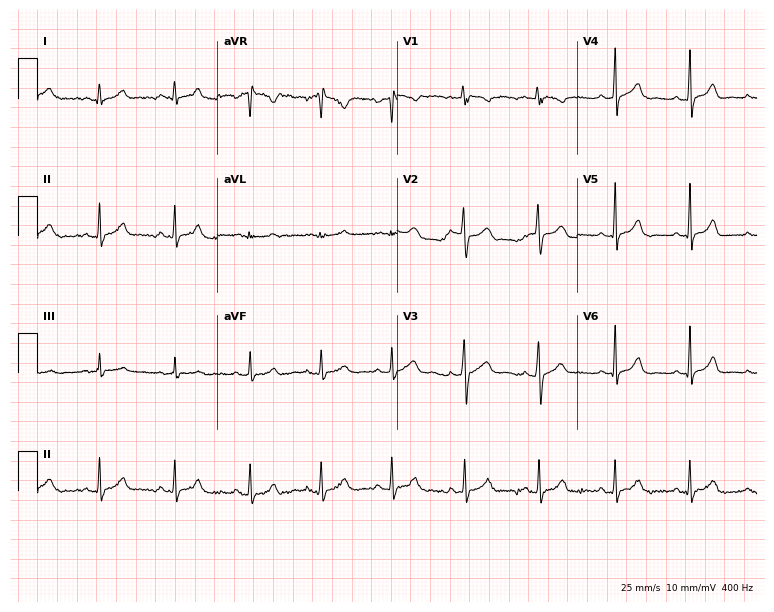
Standard 12-lead ECG recorded from a female, 20 years old (7.3-second recording at 400 Hz). Read as a normal ECG.